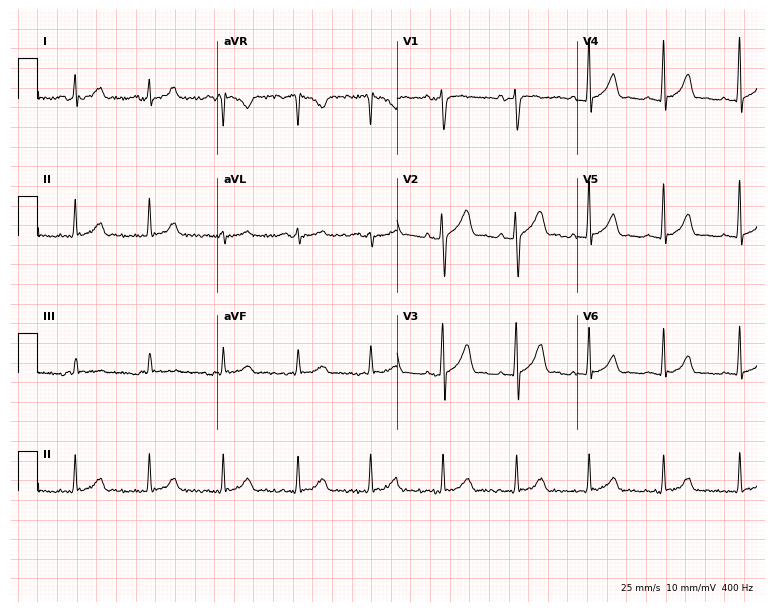
Electrocardiogram, a male patient, 32 years old. Overall reading on record: normal ECG.